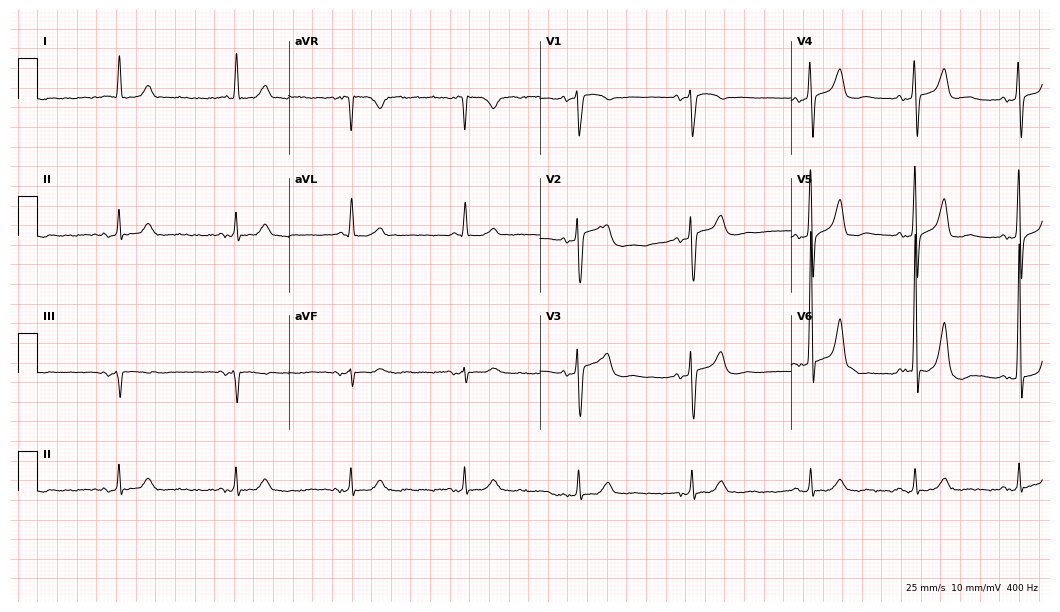
Resting 12-lead electrocardiogram (10.2-second recording at 400 Hz). Patient: a 77-year-old man. Read as a normal ECG.